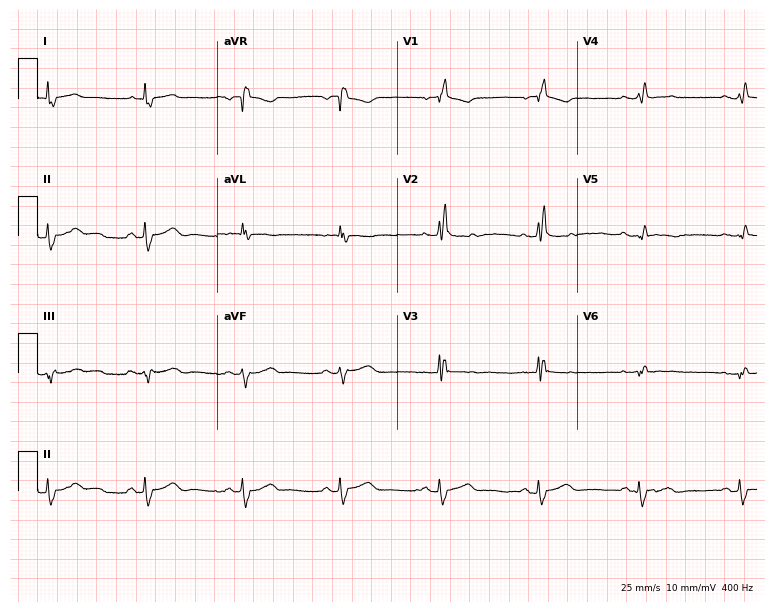
Electrocardiogram, a 79-year-old male. Interpretation includes right bundle branch block.